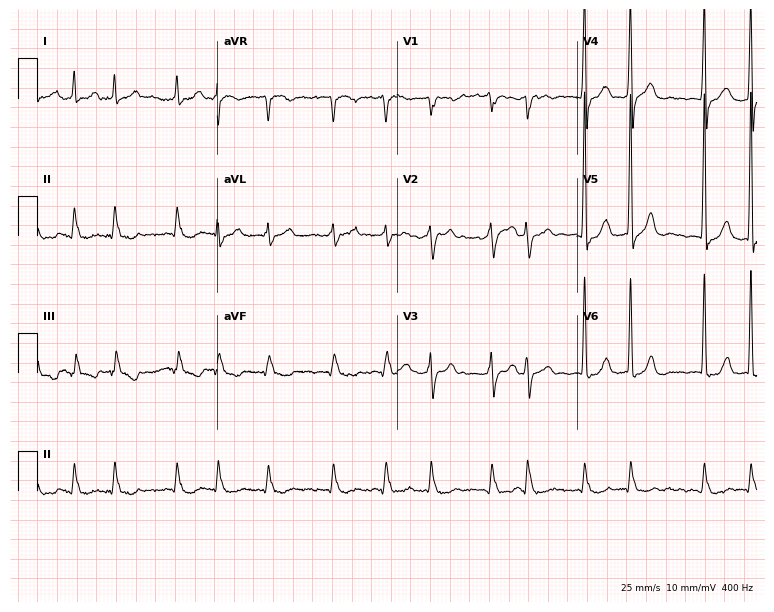
Standard 12-lead ECG recorded from an 80-year-old male. The tracing shows atrial fibrillation.